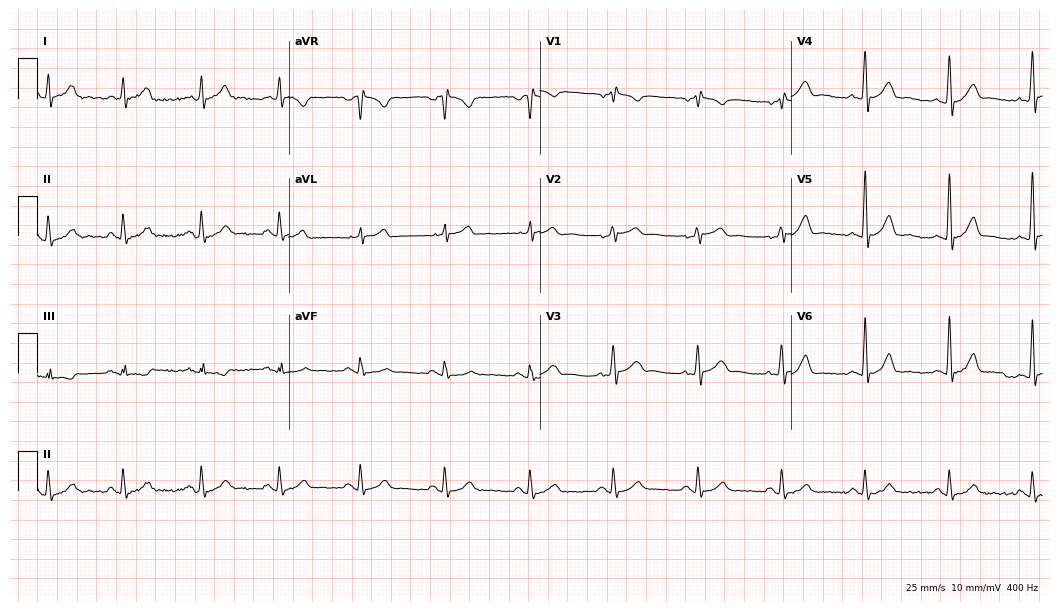
Resting 12-lead electrocardiogram (10.2-second recording at 400 Hz). Patient: a 43-year-old male. None of these six findings is recorded: first-degree AV block, right bundle branch block, left bundle branch block, sinus bradycardia, atrial fibrillation, sinus tachycardia.